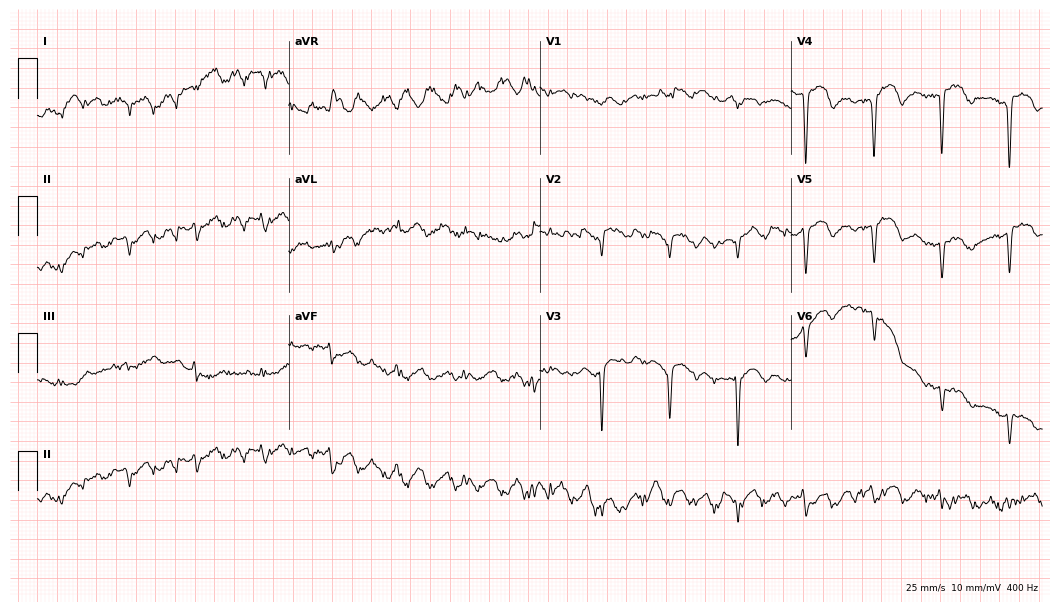
Electrocardiogram (10.2-second recording at 400 Hz), an 82-year-old man. Of the six screened findings (first-degree AV block, right bundle branch block (RBBB), left bundle branch block (LBBB), sinus bradycardia, atrial fibrillation (AF), sinus tachycardia), none is recorded. Findings outside these six are not listed.